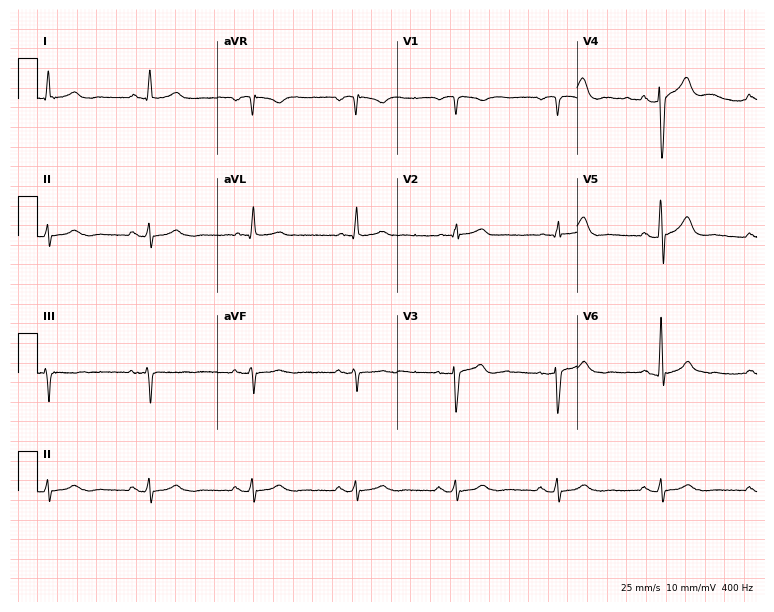
ECG (7.3-second recording at 400 Hz) — a 74-year-old man. Labelled as a normal ECG.